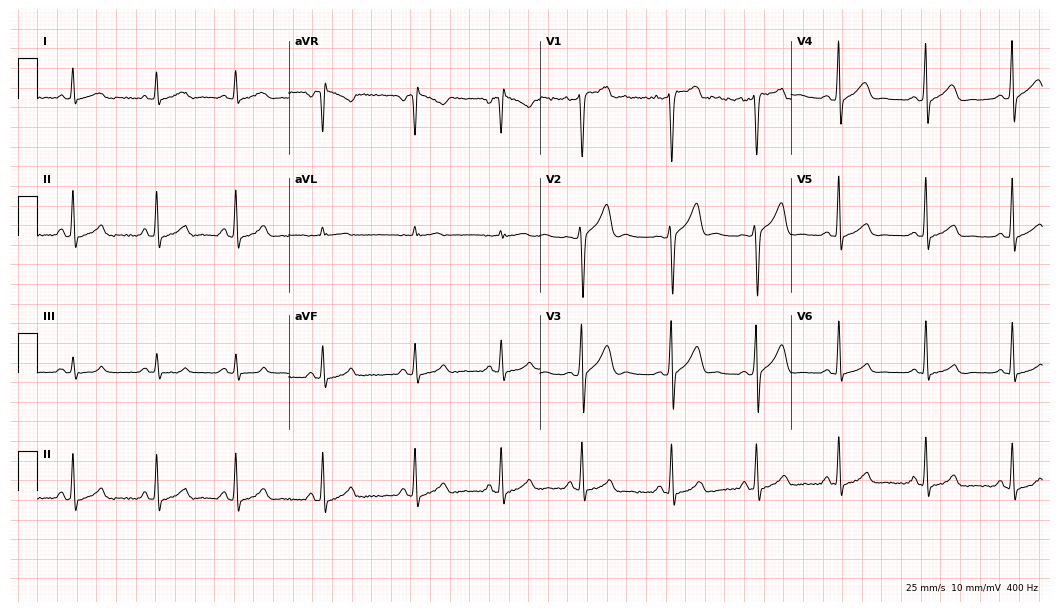
ECG (10.2-second recording at 400 Hz) — a man, 21 years old. Labelled as a normal ECG.